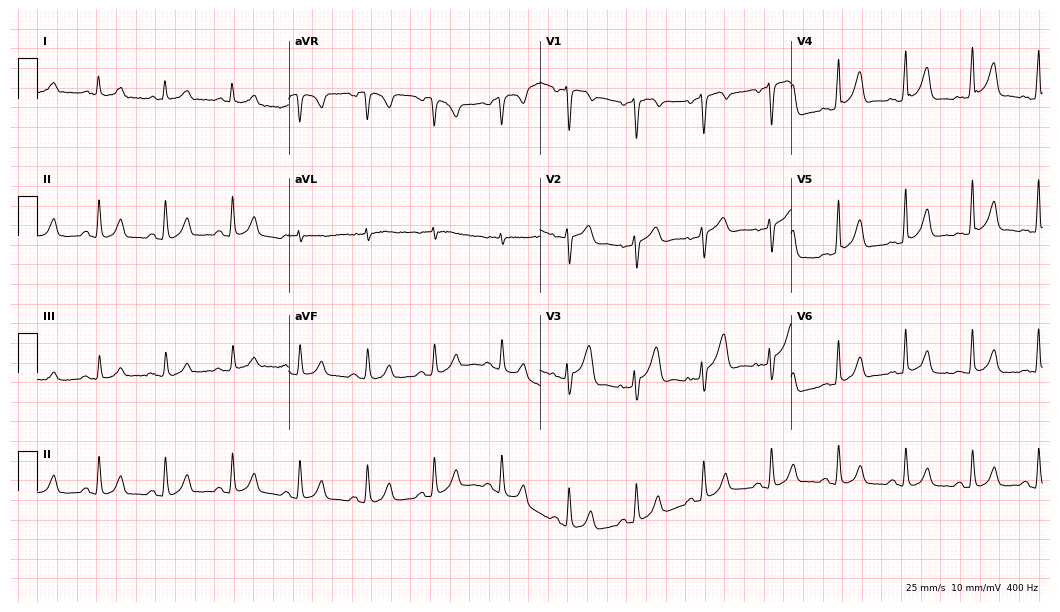
Standard 12-lead ECG recorded from a male patient, 41 years old (10.2-second recording at 400 Hz). Read as a normal ECG.